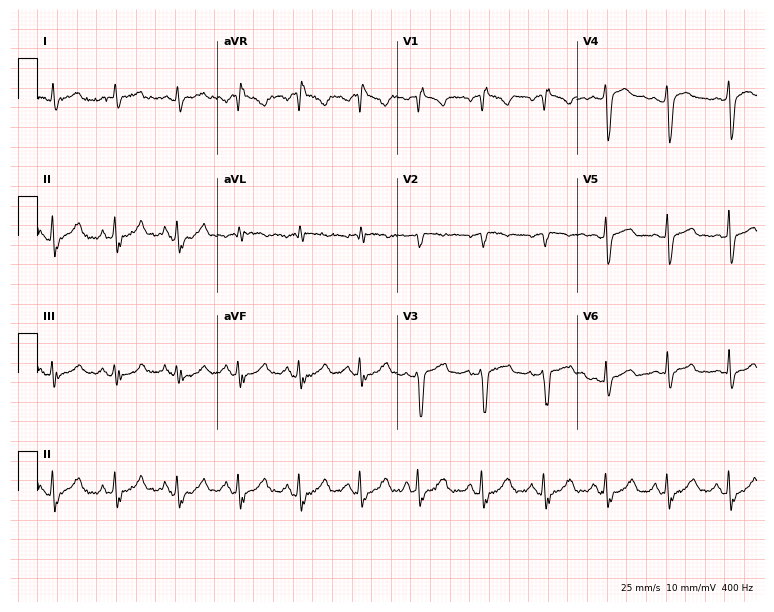
12-lead ECG (7.3-second recording at 400 Hz) from a man, 67 years old. Screened for six findings — first-degree AV block, right bundle branch block, left bundle branch block, sinus bradycardia, atrial fibrillation, sinus tachycardia — none is recorded.